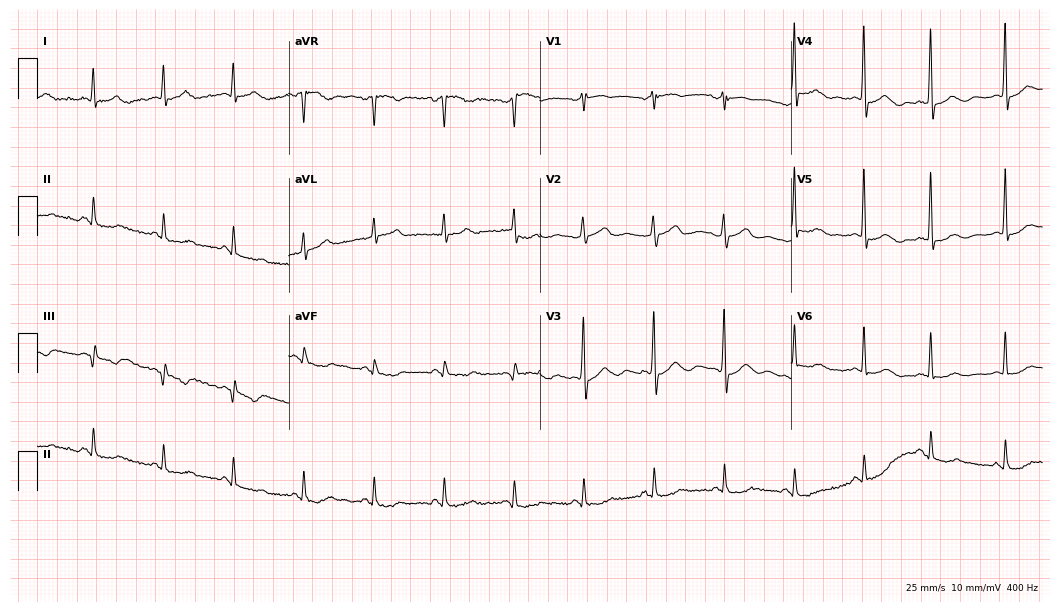
Resting 12-lead electrocardiogram. Patient: a male, 76 years old. None of these six findings is recorded: first-degree AV block, right bundle branch block, left bundle branch block, sinus bradycardia, atrial fibrillation, sinus tachycardia.